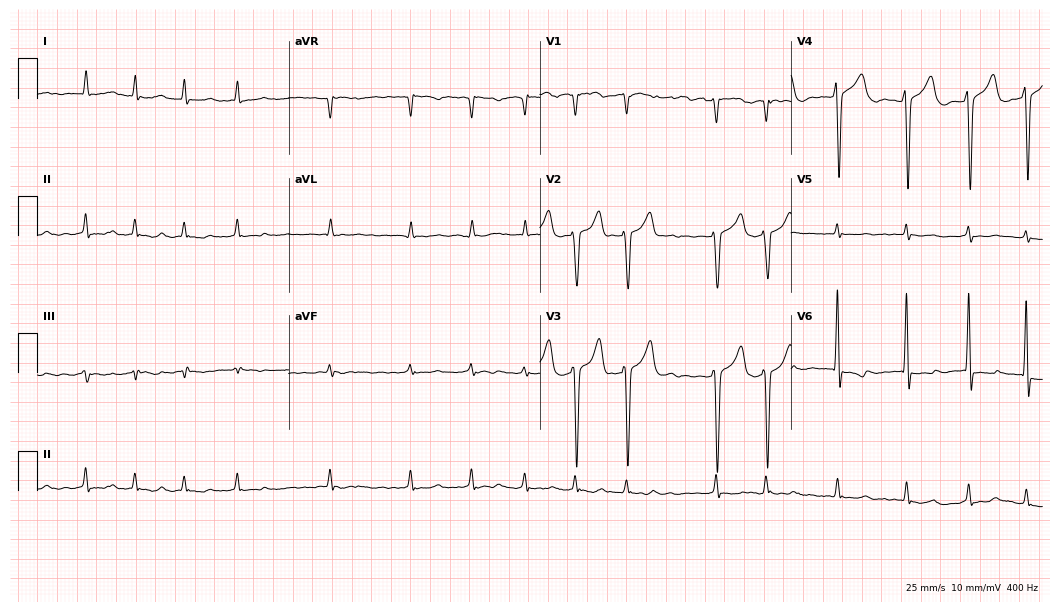
ECG (10.2-second recording at 400 Hz) — a 76-year-old male patient. Findings include atrial fibrillation (AF).